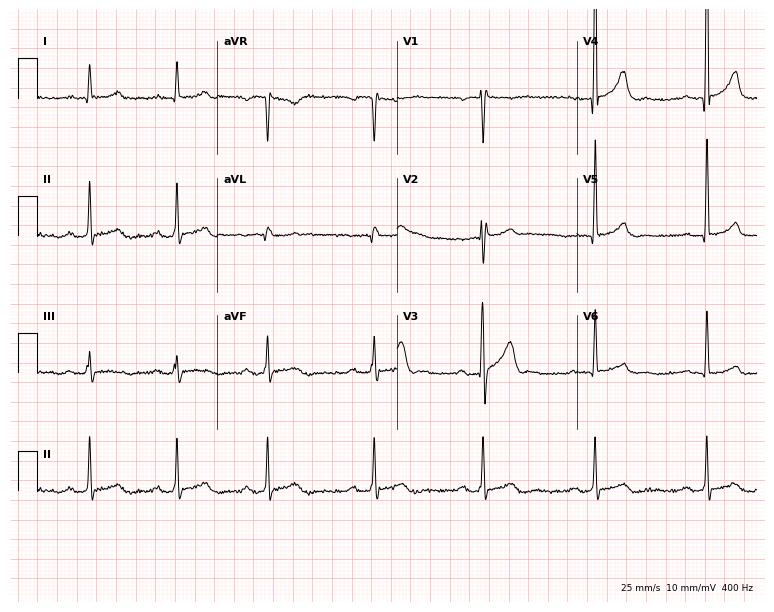
Electrocardiogram, a 42-year-old male. Of the six screened findings (first-degree AV block, right bundle branch block (RBBB), left bundle branch block (LBBB), sinus bradycardia, atrial fibrillation (AF), sinus tachycardia), none is recorded.